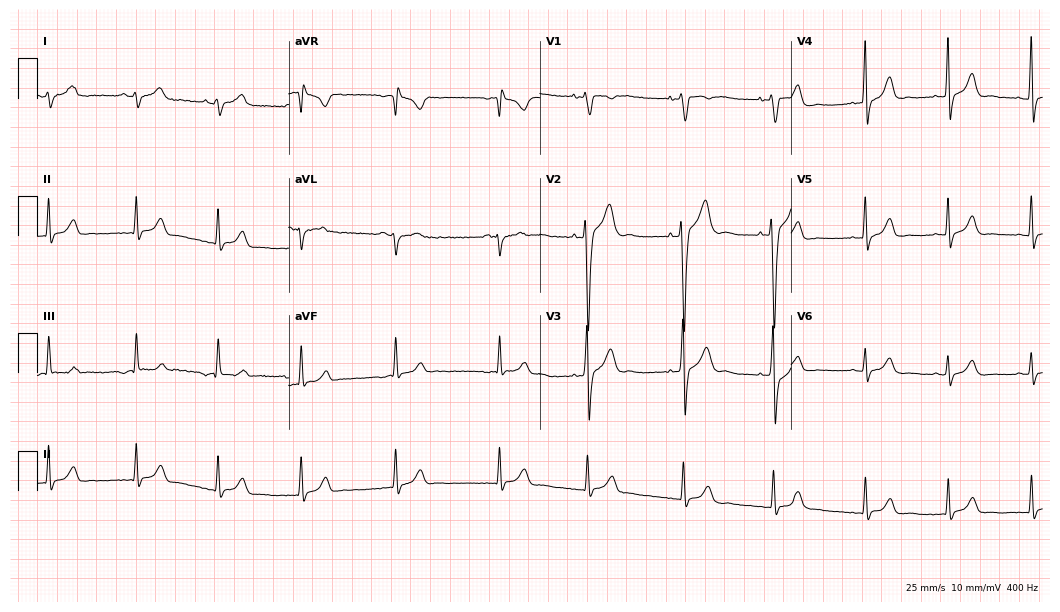
Standard 12-lead ECG recorded from a male, 25 years old. None of these six findings is recorded: first-degree AV block, right bundle branch block, left bundle branch block, sinus bradycardia, atrial fibrillation, sinus tachycardia.